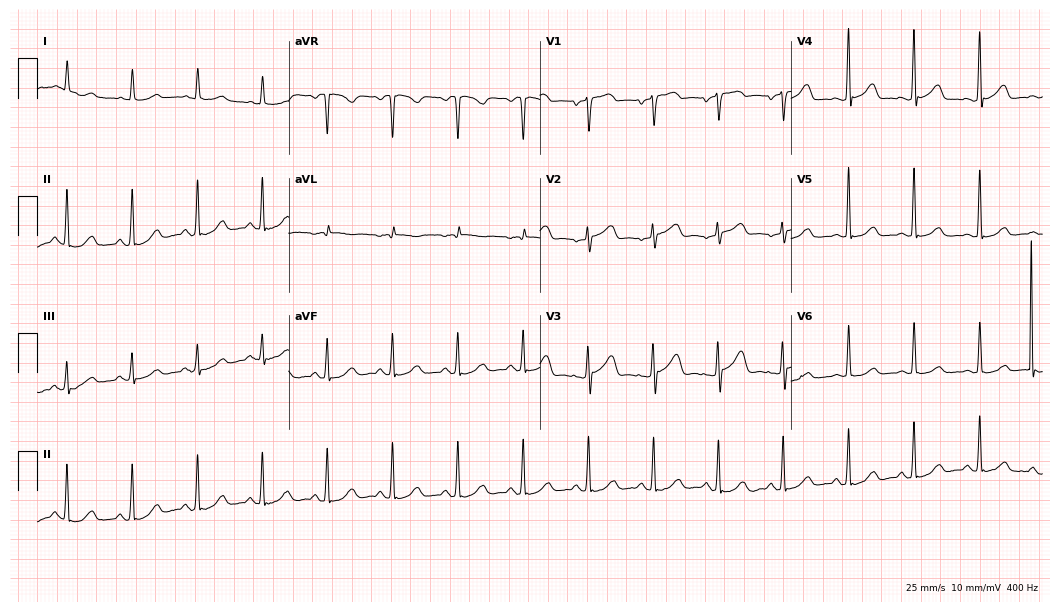
Resting 12-lead electrocardiogram. Patient: a 69-year-old female. Read as a normal ECG.